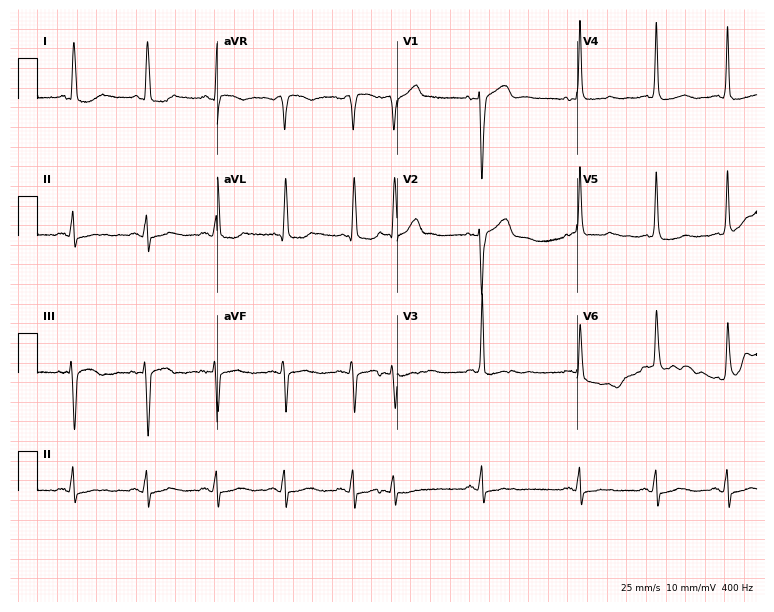
Standard 12-lead ECG recorded from a female patient, 82 years old. None of these six findings is recorded: first-degree AV block, right bundle branch block, left bundle branch block, sinus bradycardia, atrial fibrillation, sinus tachycardia. Only these six findings were labelled.